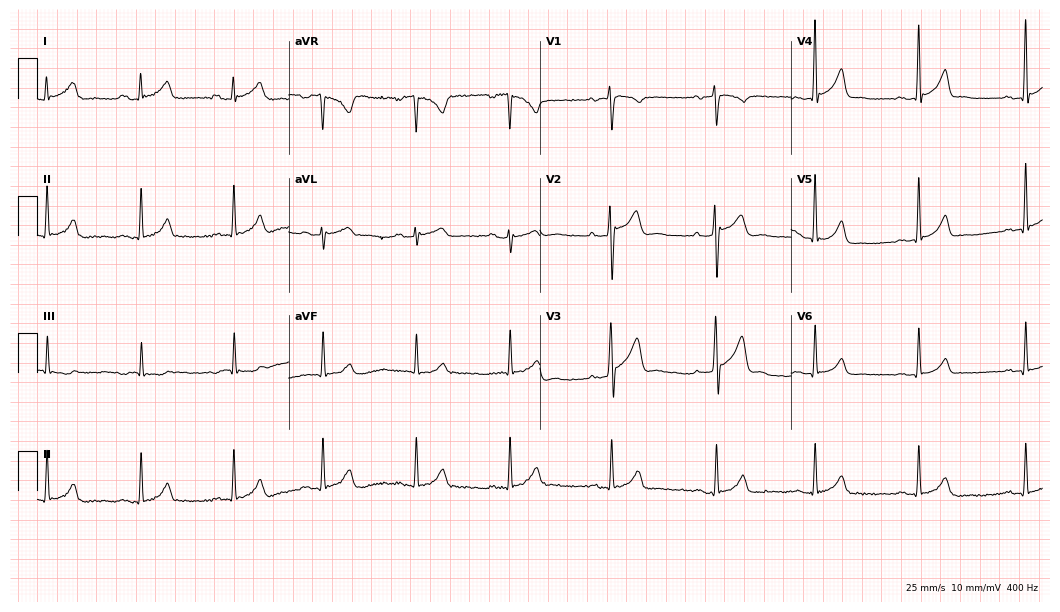
Electrocardiogram (10.2-second recording at 400 Hz), a 30-year-old male. Overall reading on record: normal ECG.